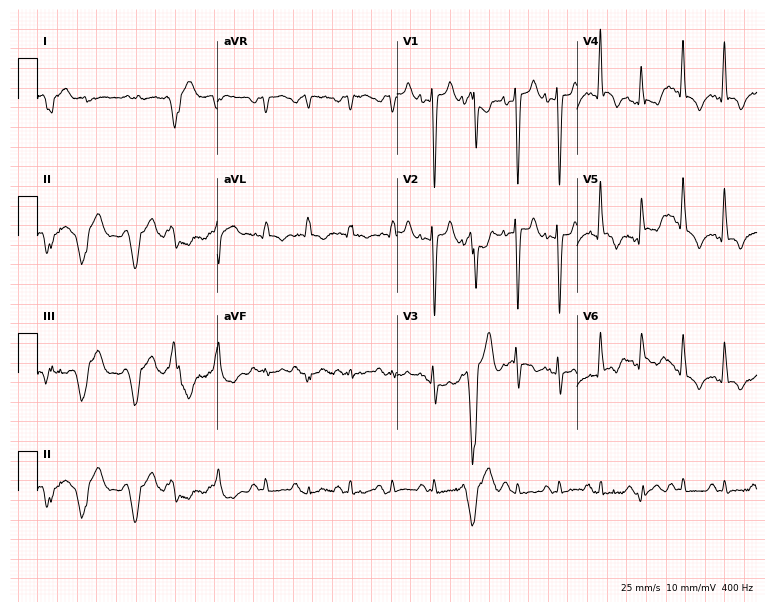
12-lead ECG from a man, 35 years old. Screened for six findings — first-degree AV block, right bundle branch block, left bundle branch block, sinus bradycardia, atrial fibrillation, sinus tachycardia — none is recorded. Only these six findings were labelled.